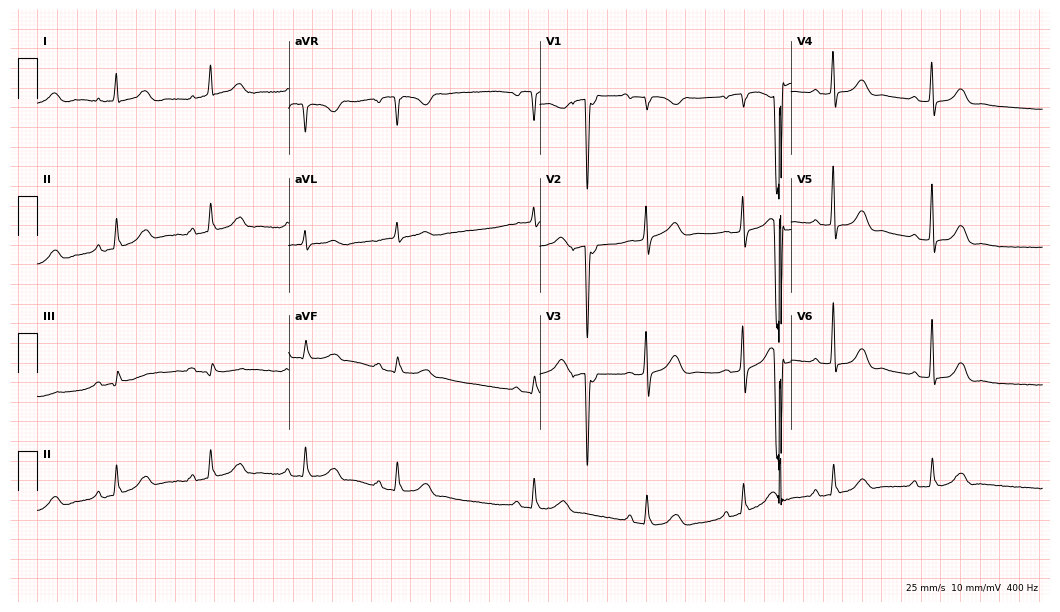
Standard 12-lead ECG recorded from a 74-year-old female (10.2-second recording at 400 Hz). Read as a normal ECG.